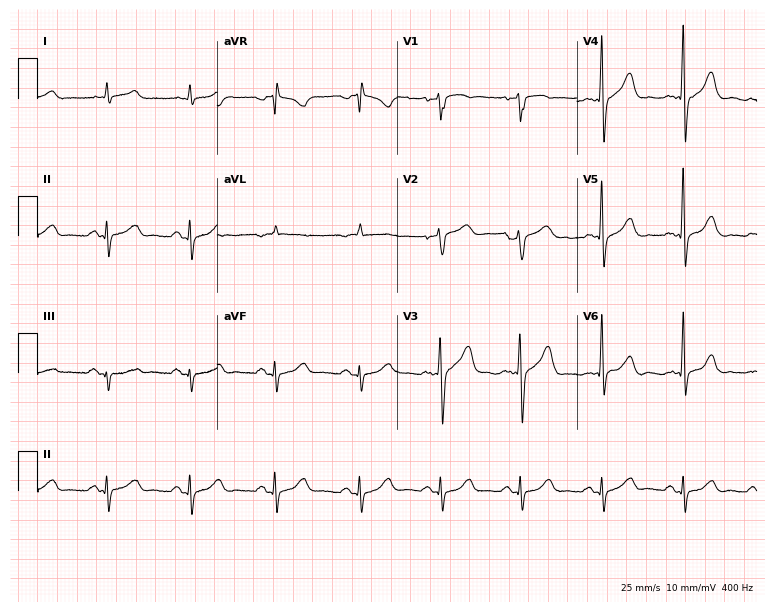
ECG — a 56-year-old man. Labelled as a normal ECG.